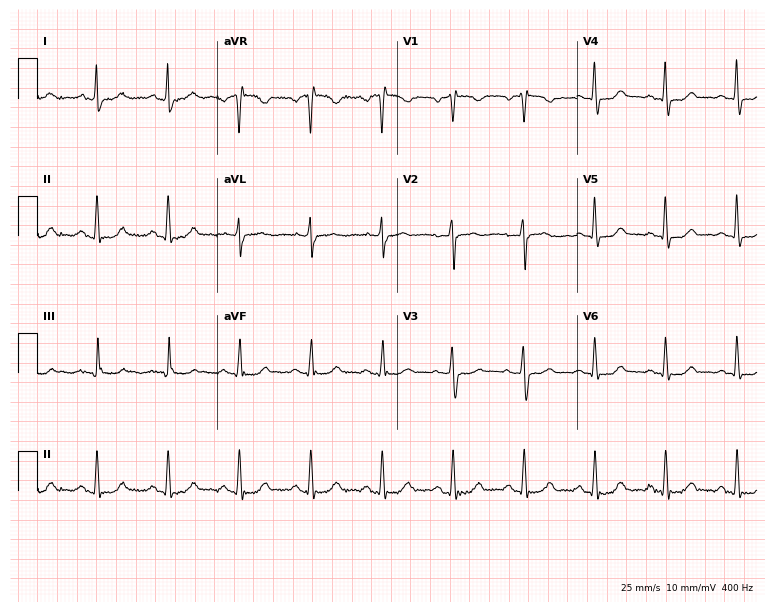
ECG (7.3-second recording at 400 Hz) — a 53-year-old female. Labelled as a normal ECG.